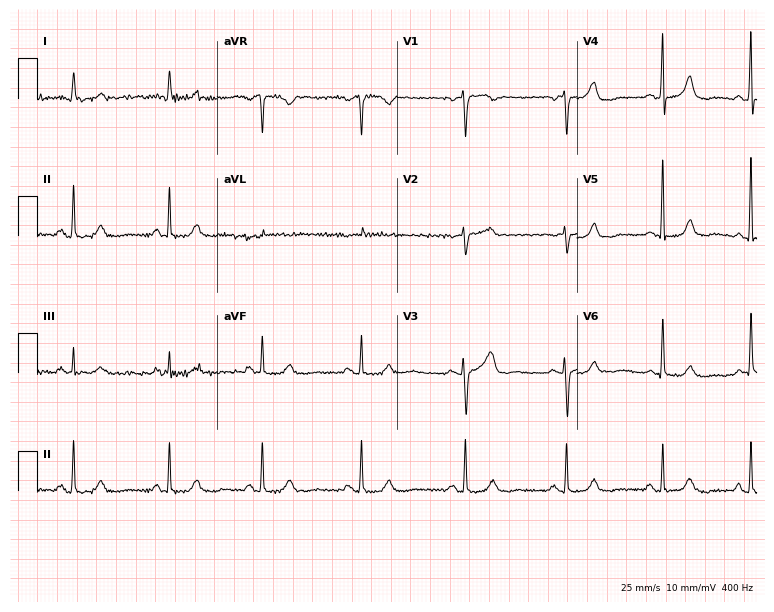
12-lead ECG from a 77-year-old female patient. Labelled as a normal ECG.